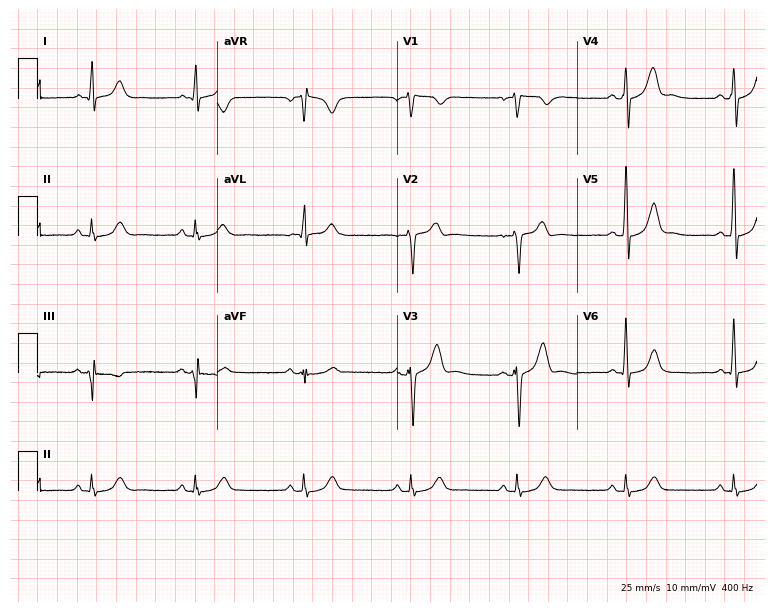
Electrocardiogram, a 56-year-old male patient. Of the six screened findings (first-degree AV block, right bundle branch block (RBBB), left bundle branch block (LBBB), sinus bradycardia, atrial fibrillation (AF), sinus tachycardia), none is recorded.